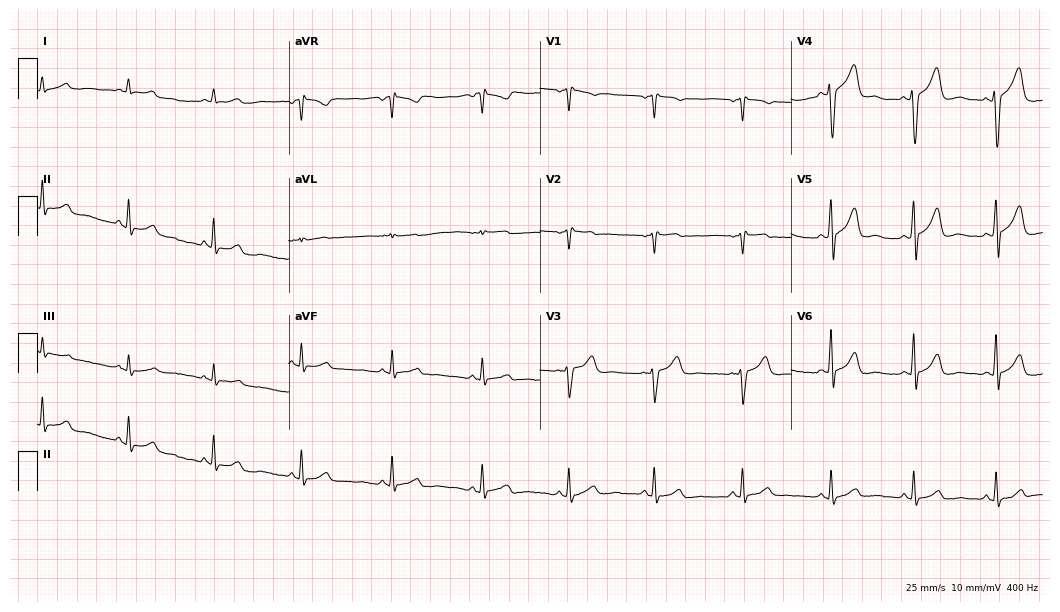
ECG (10.2-second recording at 400 Hz) — a male patient, 42 years old. Screened for six findings — first-degree AV block, right bundle branch block, left bundle branch block, sinus bradycardia, atrial fibrillation, sinus tachycardia — none is recorded.